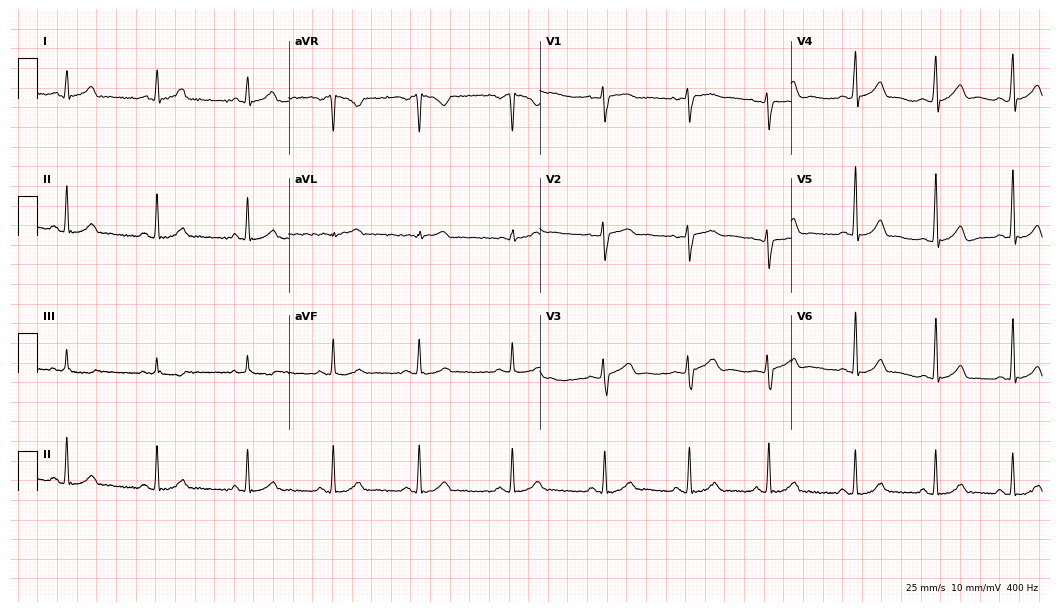
ECG — a female patient, 29 years old. Labelled as a normal ECG.